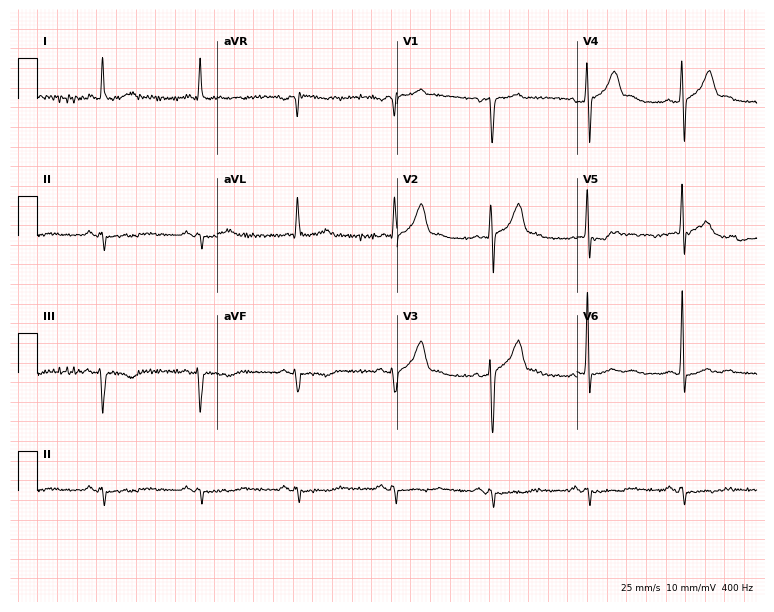
Standard 12-lead ECG recorded from a man, 81 years old. None of these six findings is recorded: first-degree AV block, right bundle branch block (RBBB), left bundle branch block (LBBB), sinus bradycardia, atrial fibrillation (AF), sinus tachycardia. Other findings, if any, are not listed.